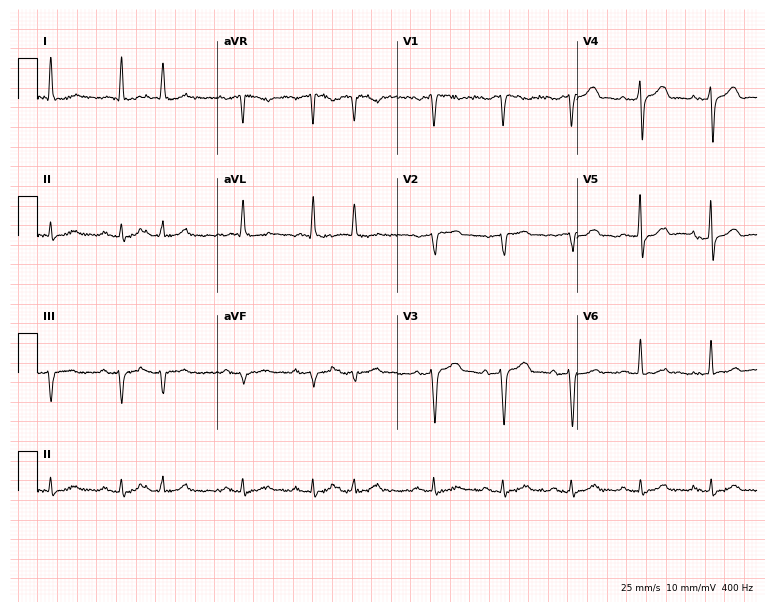
ECG — a 69-year-old male. Screened for six findings — first-degree AV block, right bundle branch block (RBBB), left bundle branch block (LBBB), sinus bradycardia, atrial fibrillation (AF), sinus tachycardia — none is recorded. Findings outside these six are not listed.